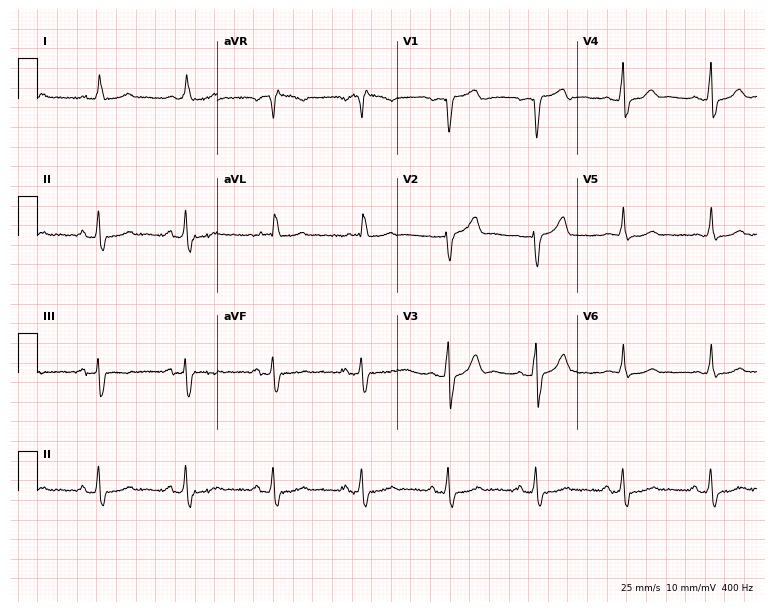
12-lead ECG from a female, 78 years old. No first-degree AV block, right bundle branch block (RBBB), left bundle branch block (LBBB), sinus bradycardia, atrial fibrillation (AF) or sinus tachycardia recorded for this tracing.